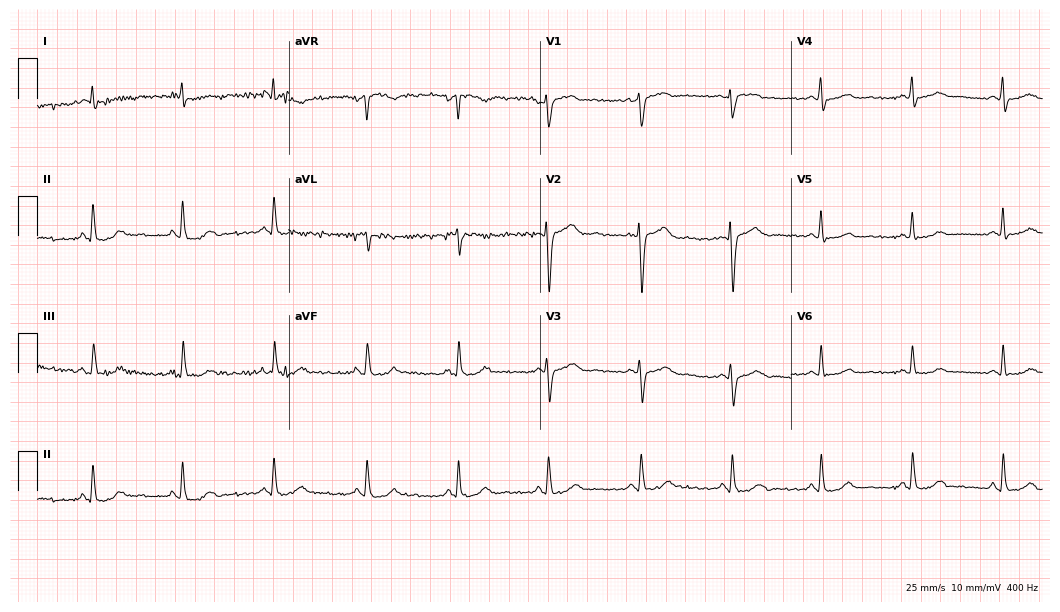
ECG — a 49-year-old male. Screened for six findings — first-degree AV block, right bundle branch block, left bundle branch block, sinus bradycardia, atrial fibrillation, sinus tachycardia — none is recorded. Only these six findings were labelled.